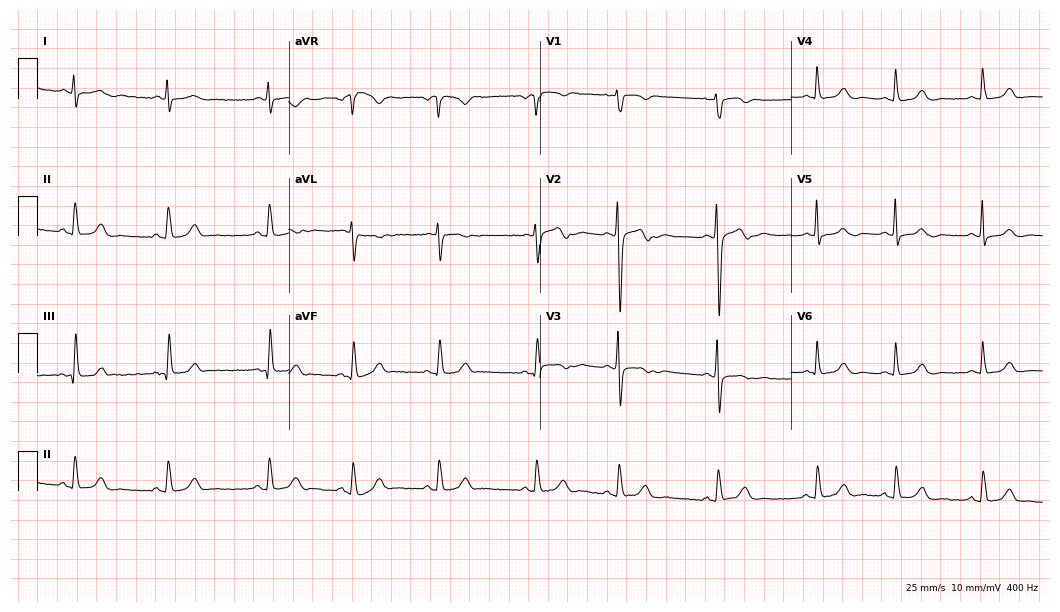
12-lead ECG from a woman, 34 years old. Recorded interpretation: within normal limits.